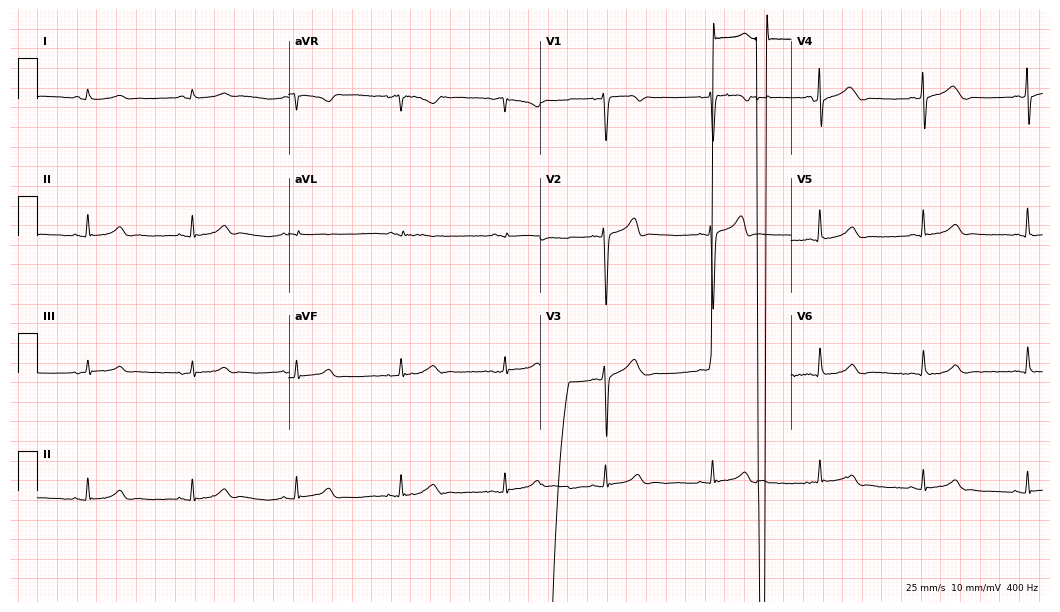
ECG (10.2-second recording at 400 Hz) — a male, 42 years old. Screened for six findings — first-degree AV block, right bundle branch block (RBBB), left bundle branch block (LBBB), sinus bradycardia, atrial fibrillation (AF), sinus tachycardia — none is recorded. Other findings, if any, are not listed.